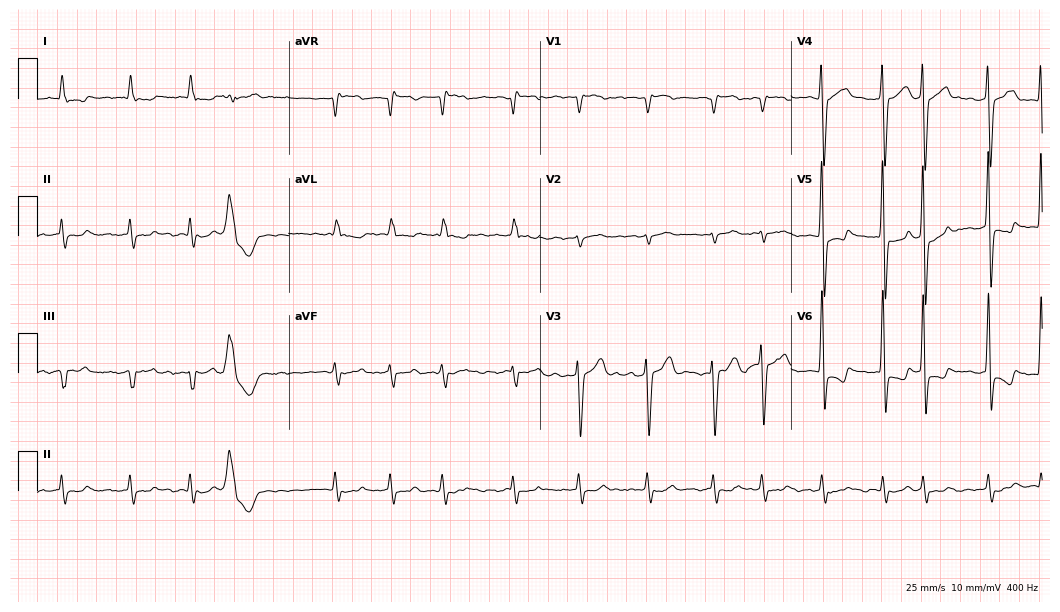
12-lead ECG from a male, 65 years old. No first-degree AV block, right bundle branch block, left bundle branch block, sinus bradycardia, atrial fibrillation or sinus tachycardia recorded for this tracing. Only these six findings were labelled.